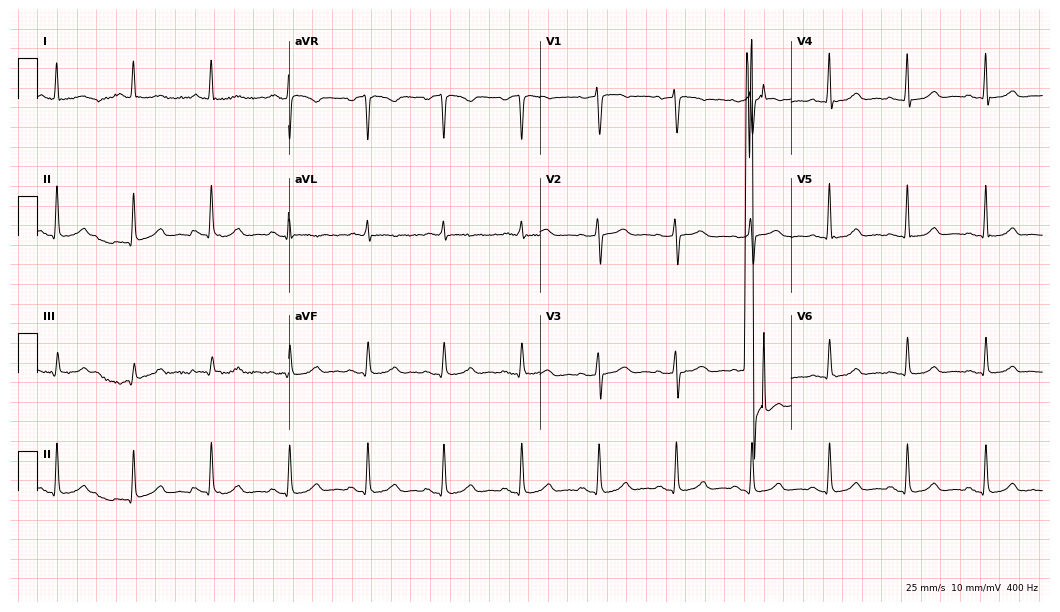
ECG (10.2-second recording at 400 Hz) — a 51-year-old female patient. Labelled as a normal ECG.